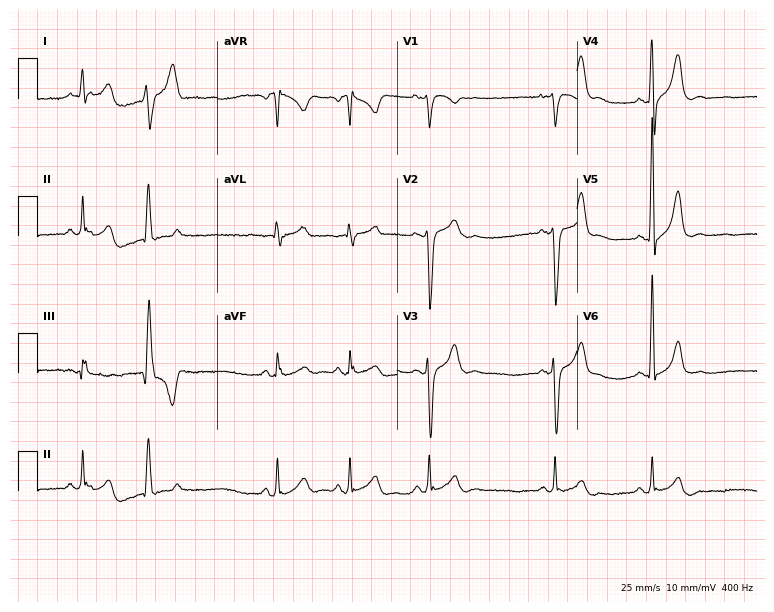
Electrocardiogram, a male, 34 years old. Of the six screened findings (first-degree AV block, right bundle branch block, left bundle branch block, sinus bradycardia, atrial fibrillation, sinus tachycardia), none is recorded.